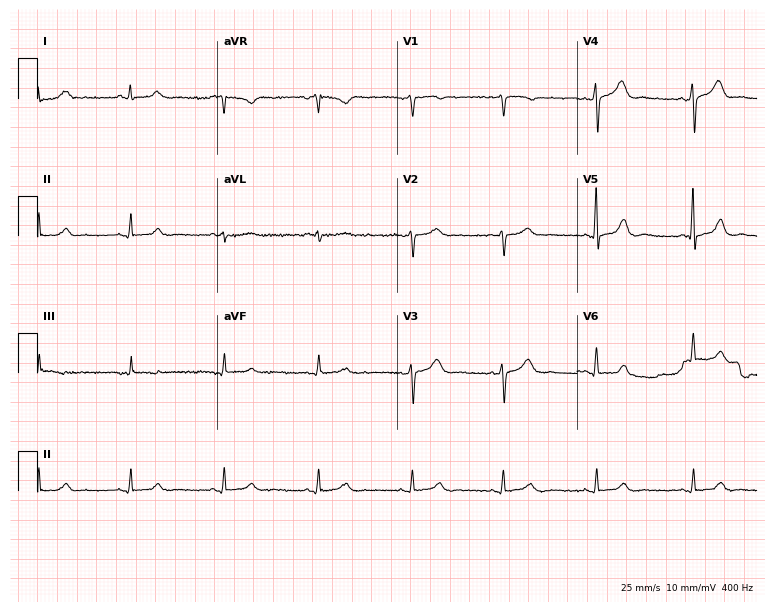
12-lead ECG (7.3-second recording at 400 Hz) from a 57-year-old woman. Screened for six findings — first-degree AV block, right bundle branch block (RBBB), left bundle branch block (LBBB), sinus bradycardia, atrial fibrillation (AF), sinus tachycardia — none is recorded. Findings outside these six are not listed.